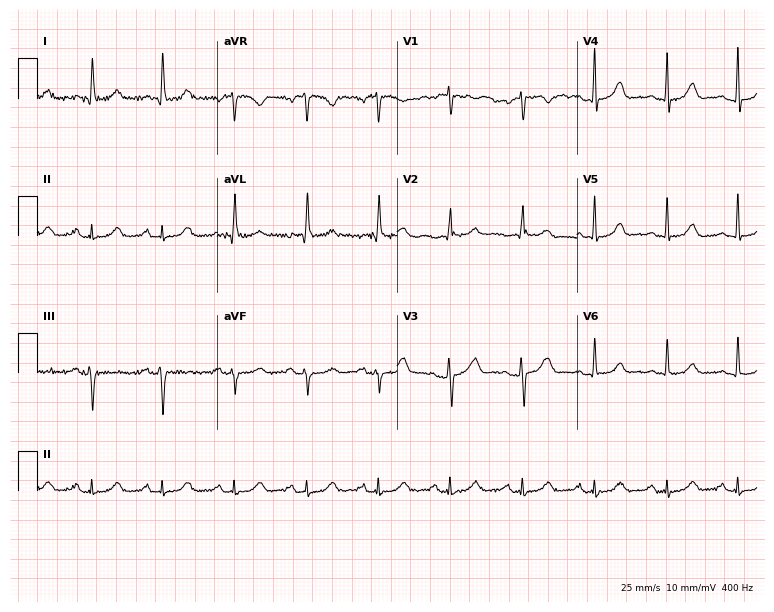
Resting 12-lead electrocardiogram (7.3-second recording at 400 Hz). Patient: a 72-year-old female. Read as a normal ECG.